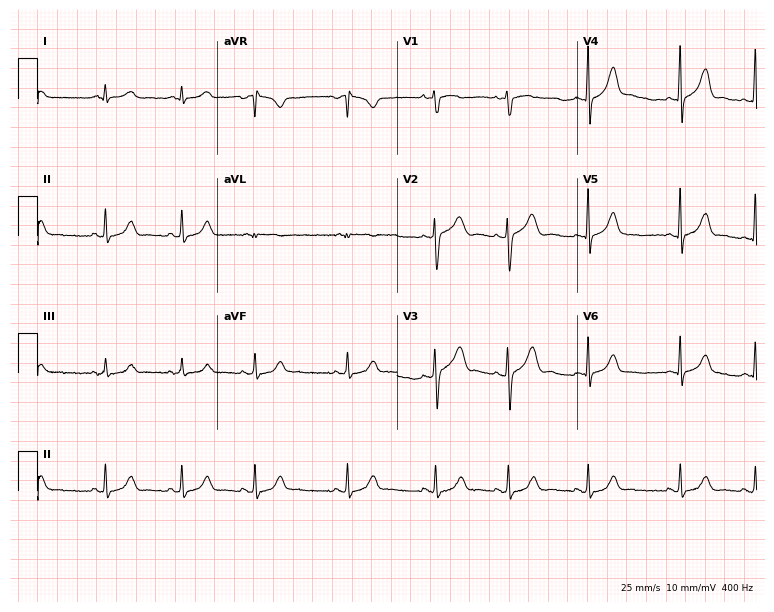
Standard 12-lead ECG recorded from a 29-year-old female. None of these six findings is recorded: first-degree AV block, right bundle branch block (RBBB), left bundle branch block (LBBB), sinus bradycardia, atrial fibrillation (AF), sinus tachycardia.